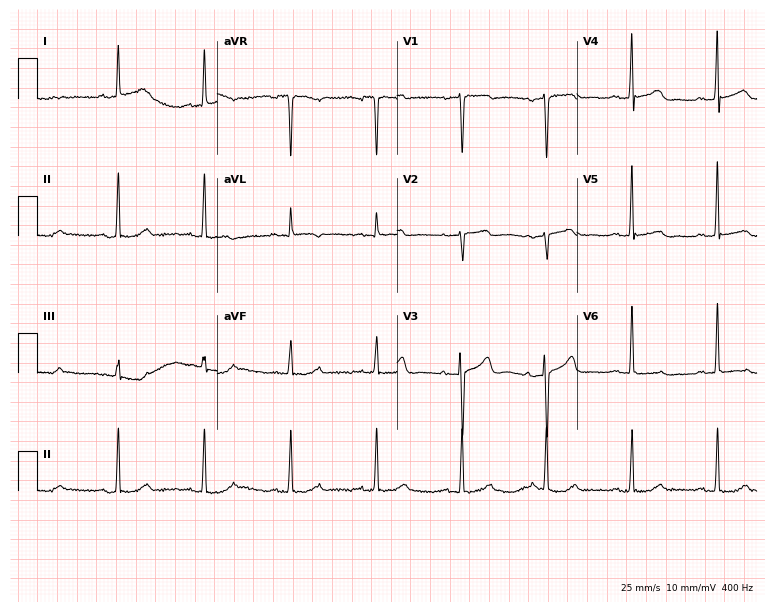
12-lead ECG from a female, 71 years old. No first-degree AV block, right bundle branch block, left bundle branch block, sinus bradycardia, atrial fibrillation or sinus tachycardia recorded for this tracing. Other findings, if any, are not listed.